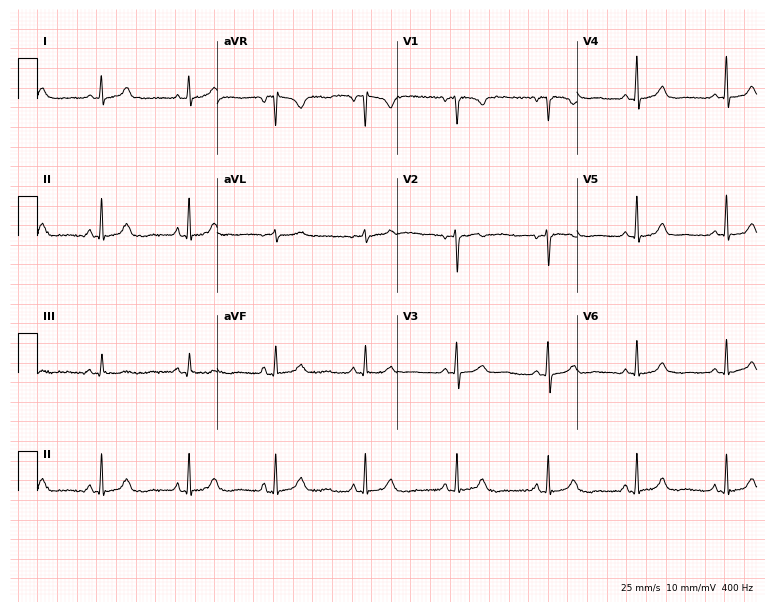
Electrocardiogram (7.3-second recording at 400 Hz), a female patient, 48 years old. Of the six screened findings (first-degree AV block, right bundle branch block, left bundle branch block, sinus bradycardia, atrial fibrillation, sinus tachycardia), none is recorded. Only these six findings were labelled.